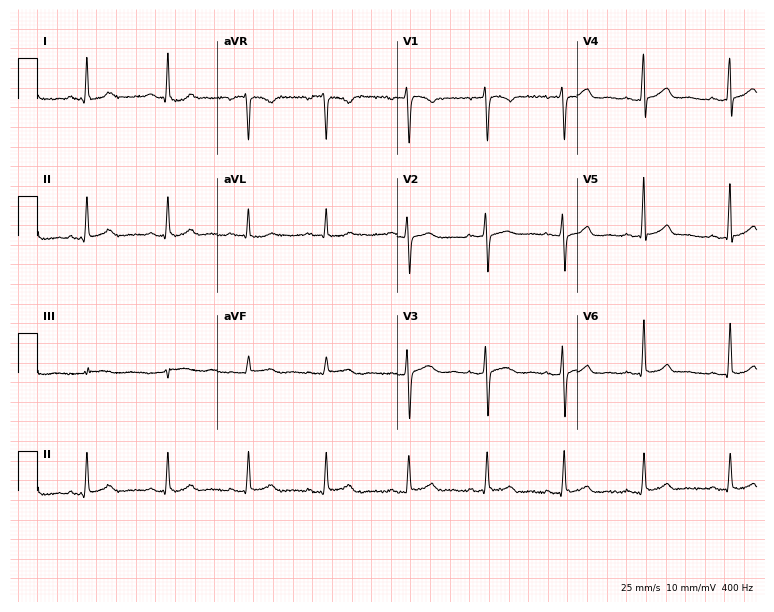
12-lead ECG from a female, 28 years old (7.3-second recording at 400 Hz). Recorded interpretation: within normal limits.